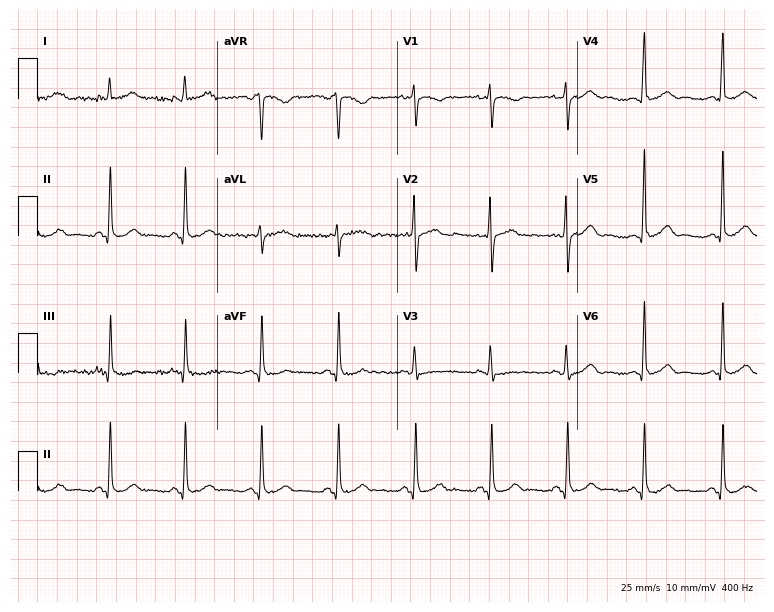
12-lead ECG from a female patient, 54 years old (7.3-second recording at 400 Hz). Recorded interpretation: within normal limits.